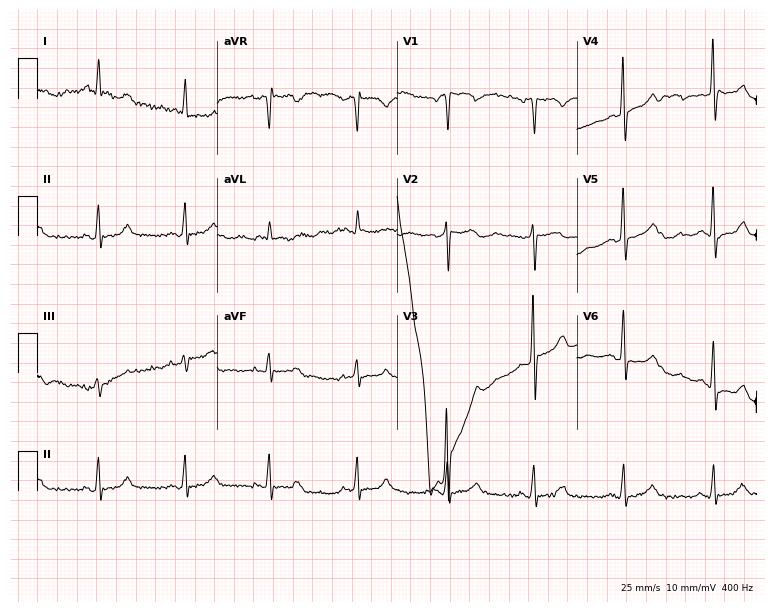
ECG (7.3-second recording at 400 Hz) — a female, 82 years old. Screened for six findings — first-degree AV block, right bundle branch block (RBBB), left bundle branch block (LBBB), sinus bradycardia, atrial fibrillation (AF), sinus tachycardia — none is recorded. Findings outside these six are not listed.